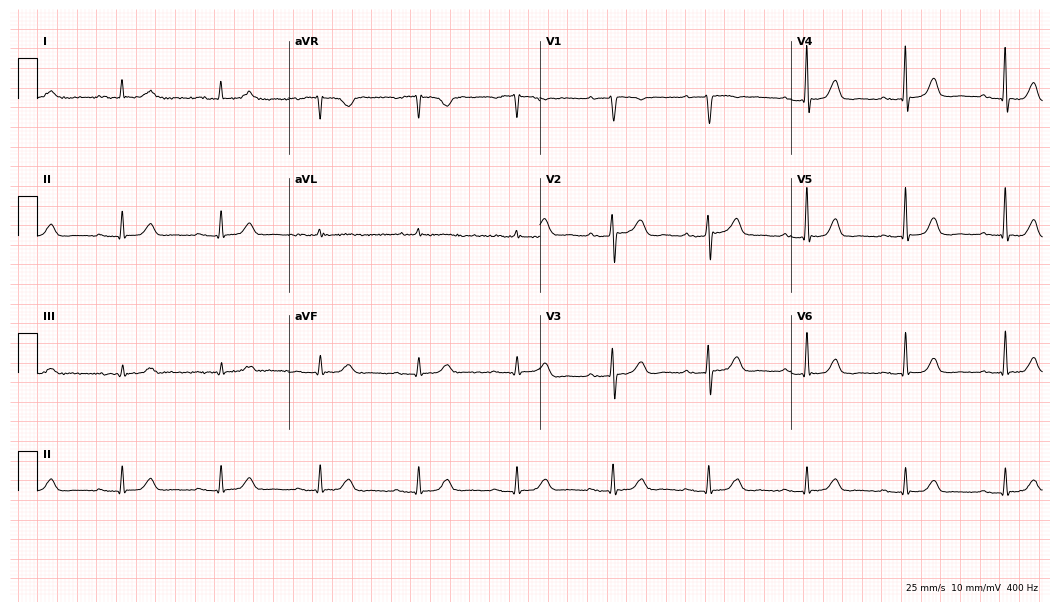
ECG — a 77-year-old female patient. Findings include first-degree AV block.